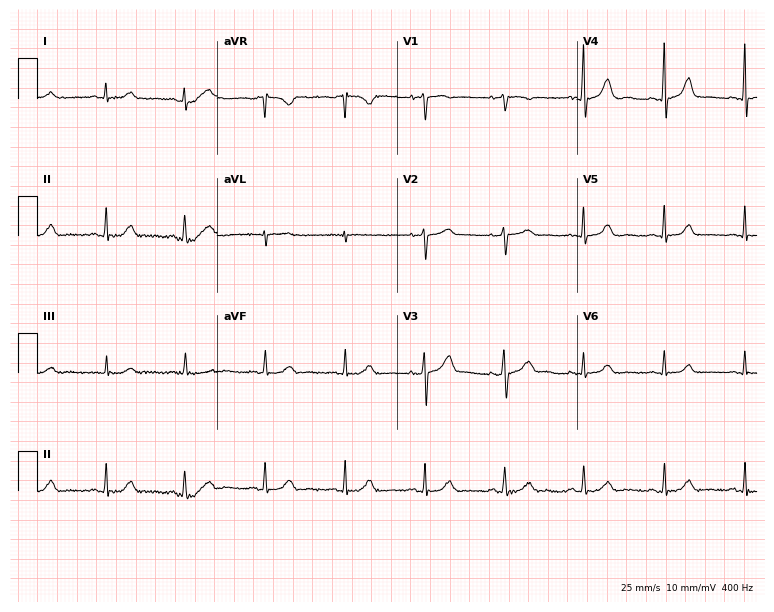
Resting 12-lead electrocardiogram. Patient: a 63-year-old woman. Read as a normal ECG.